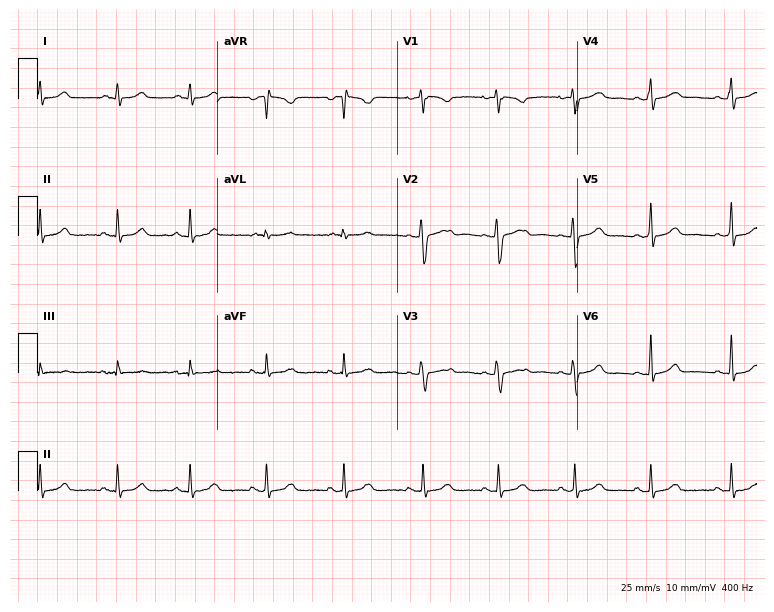
ECG — a 24-year-old female patient. Labelled as a normal ECG.